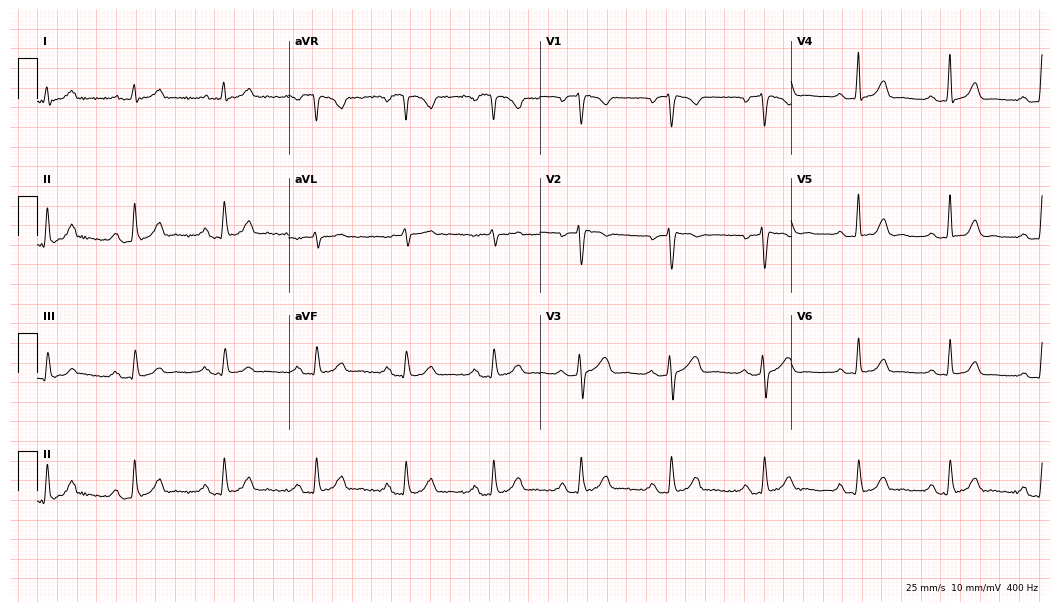
Resting 12-lead electrocardiogram. Patient: a female, 38 years old. The tracing shows first-degree AV block.